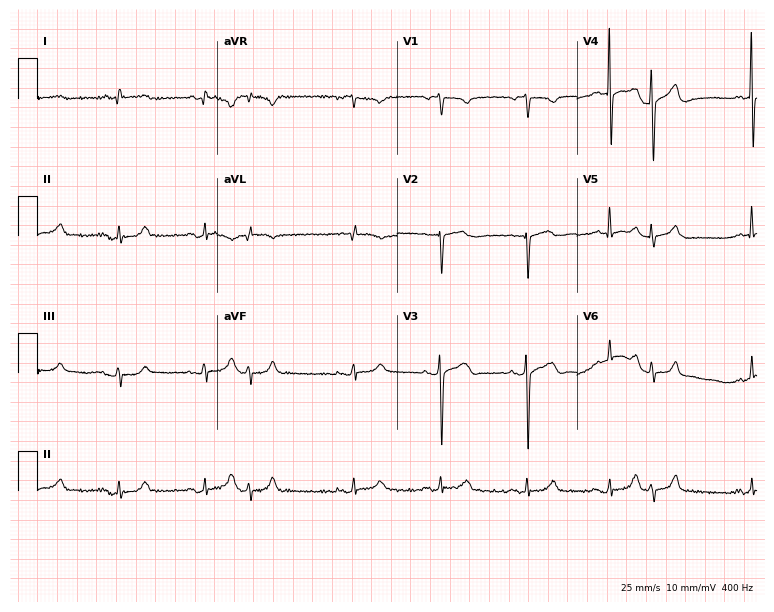
ECG — a 78-year-old man. Screened for six findings — first-degree AV block, right bundle branch block (RBBB), left bundle branch block (LBBB), sinus bradycardia, atrial fibrillation (AF), sinus tachycardia — none is recorded. Only these six findings were labelled.